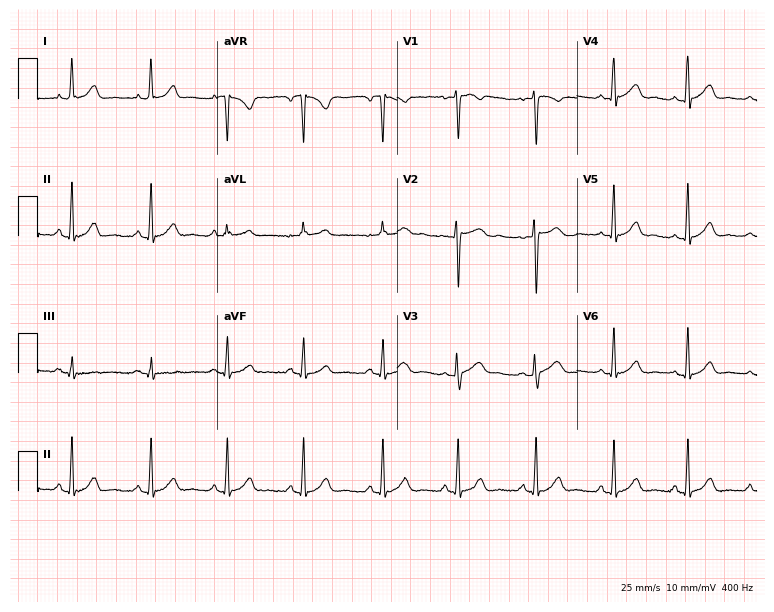
12-lead ECG from a woman, 31 years old (7.3-second recording at 400 Hz). Recorded interpretation: within normal limits.